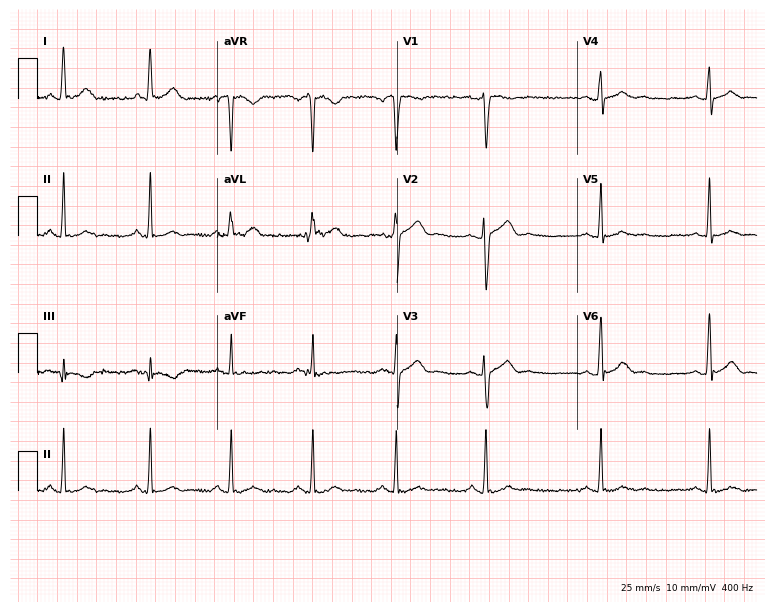
12-lead ECG from a 27-year-old male patient. Recorded interpretation: within normal limits.